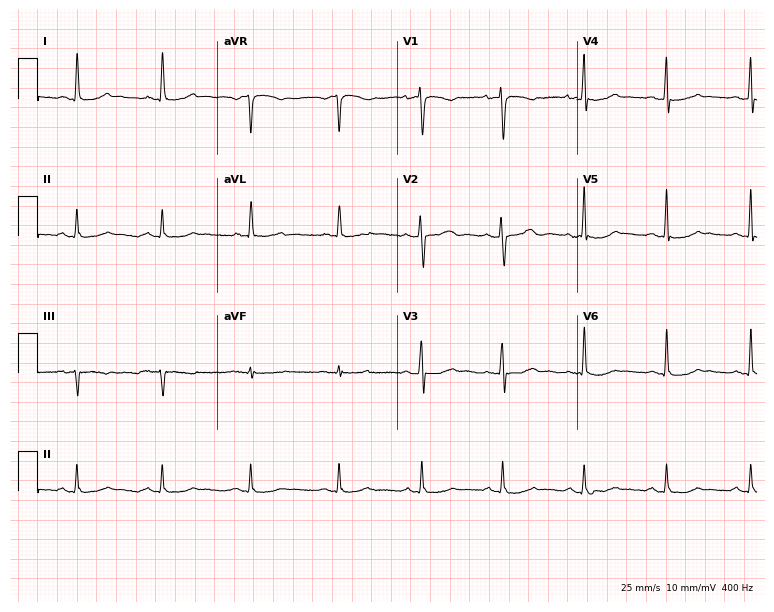
12-lead ECG from a 44-year-old female. Labelled as a normal ECG.